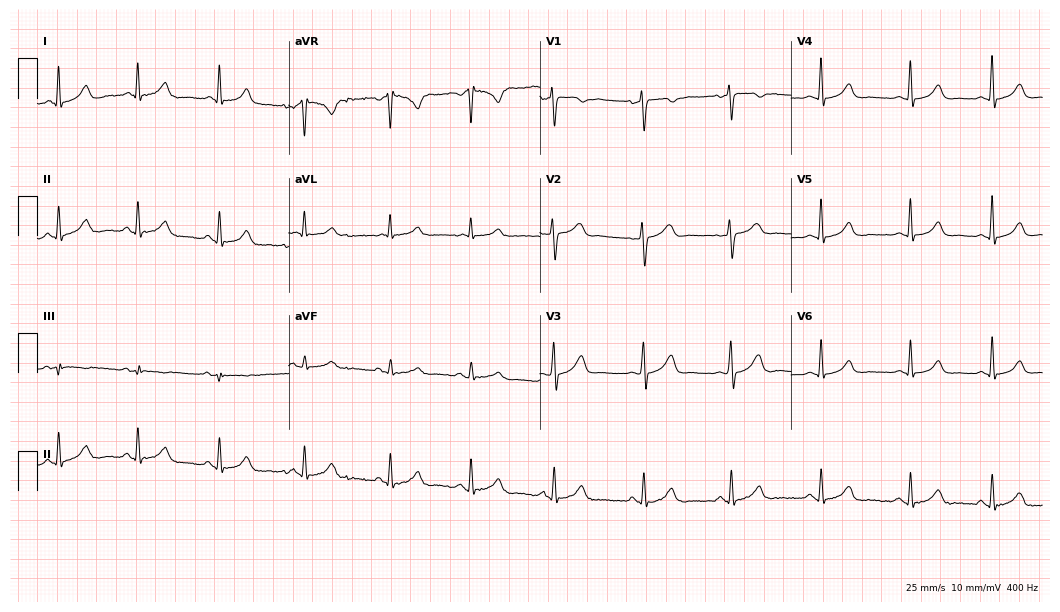
Resting 12-lead electrocardiogram. Patient: a woman, 49 years old. None of these six findings is recorded: first-degree AV block, right bundle branch block (RBBB), left bundle branch block (LBBB), sinus bradycardia, atrial fibrillation (AF), sinus tachycardia.